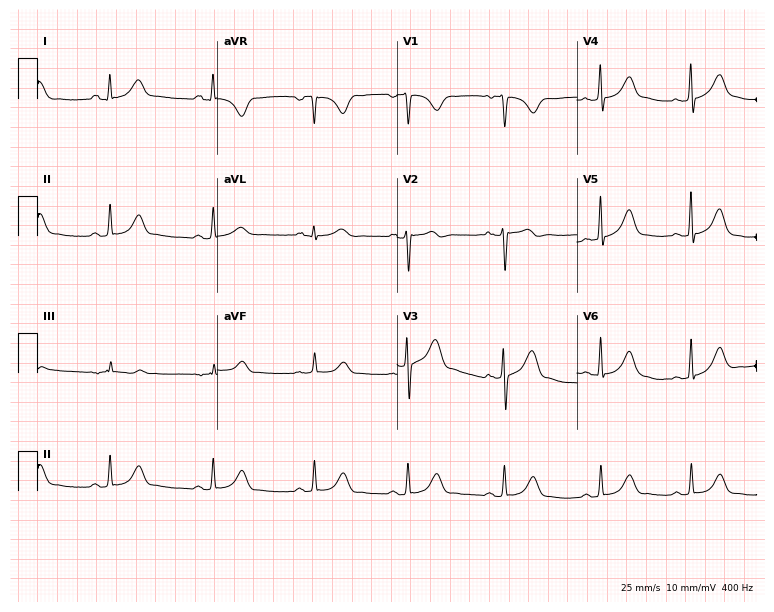
ECG — a woman, 24 years old. Screened for six findings — first-degree AV block, right bundle branch block, left bundle branch block, sinus bradycardia, atrial fibrillation, sinus tachycardia — none is recorded. Only these six findings were labelled.